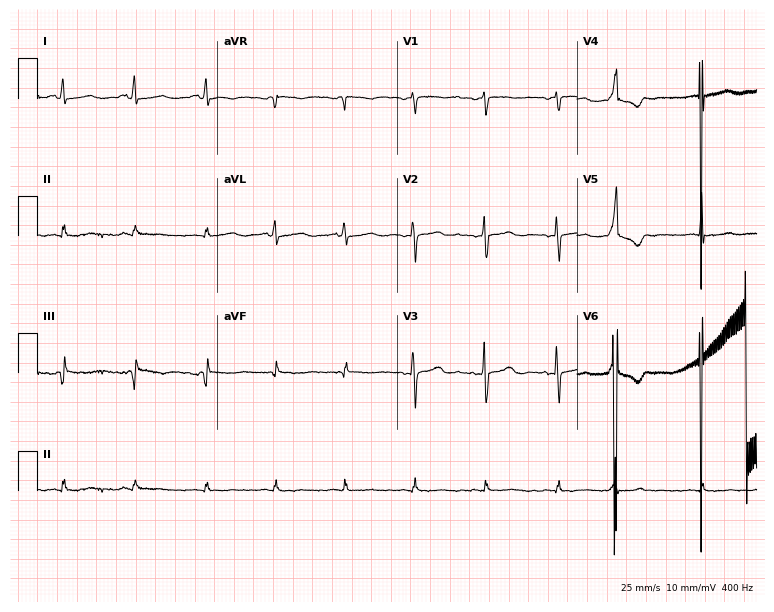
Electrocardiogram (7.3-second recording at 400 Hz), a 26-year-old female patient. Of the six screened findings (first-degree AV block, right bundle branch block, left bundle branch block, sinus bradycardia, atrial fibrillation, sinus tachycardia), none is recorded.